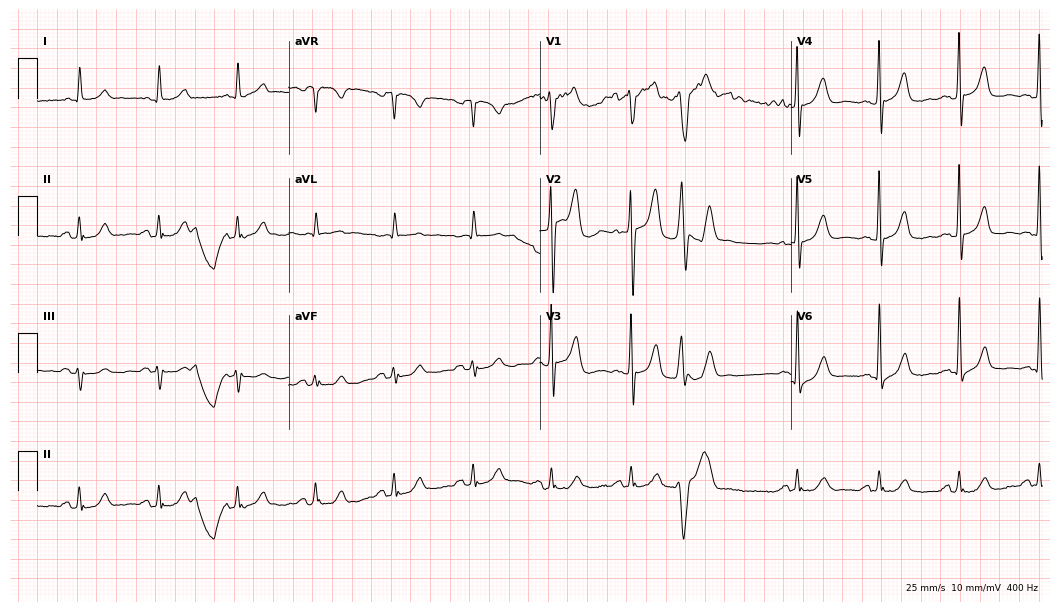
12-lead ECG (10.2-second recording at 400 Hz) from an 85-year-old male. Screened for six findings — first-degree AV block, right bundle branch block, left bundle branch block, sinus bradycardia, atrial fibrillation, sinus tachycardia — none is recorded. Other findings, if any, are not listed.